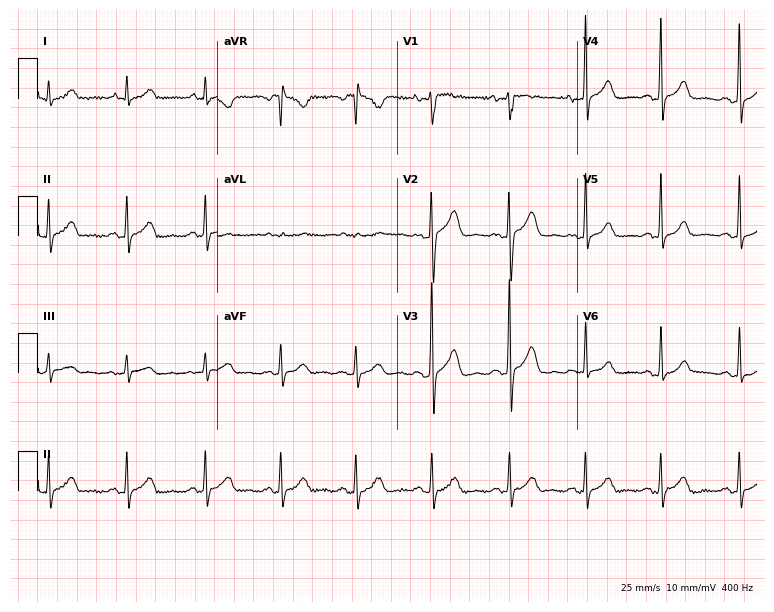
Resting 12-lead electrocardiogram. Patient: a 49-year-old man. None of these six findings is recorded: first-degree AV block, right bundle branch block (RBBB), left bundle branch block (LBBB), sinus bradycardia, atrial fibrillation (AF), sinus tachycardia. Findings outside these six are not listed.